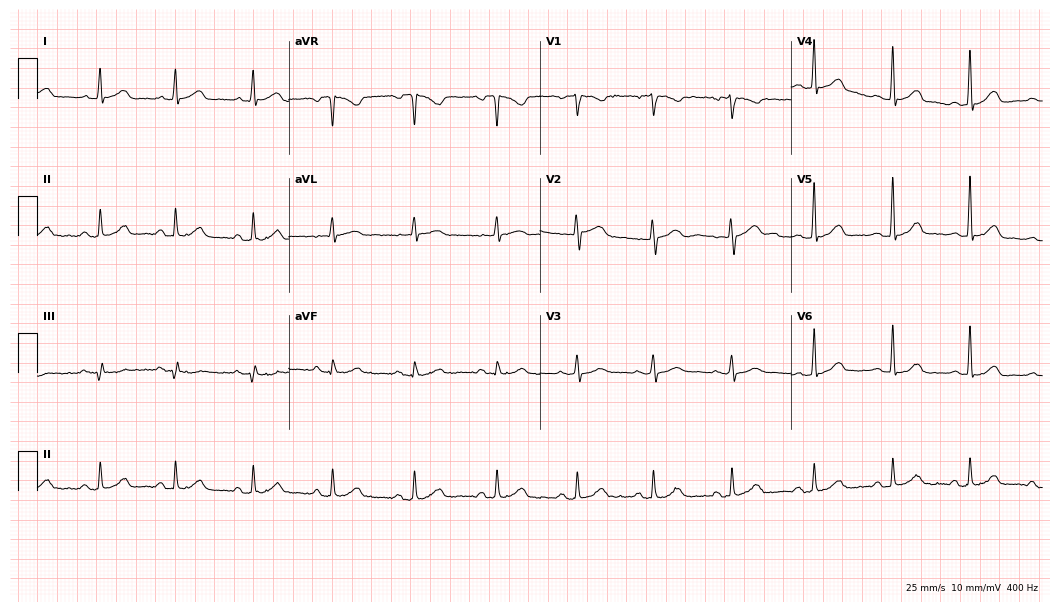
12-lead ECG from a 48-year-old female. Screened for six findings — first-degree AV block, right bundle branch block, left bundle branch block, sinus bradycardia, atrial fibrillation, sinus tachycardia — none is recorded. Other findings, if any, are not listed.